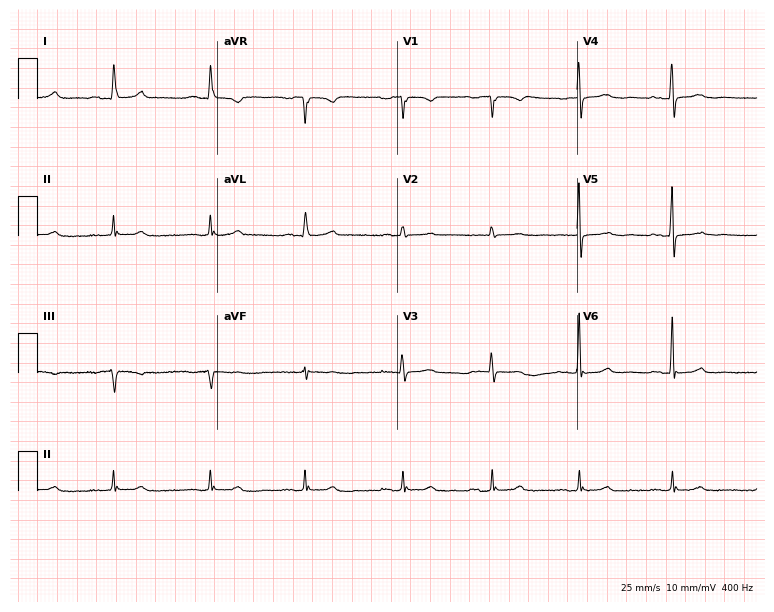
12-lead ECG (7.3-second recording at 400 Hz) from a man, 74 years old. Labelled as a normal ECG.